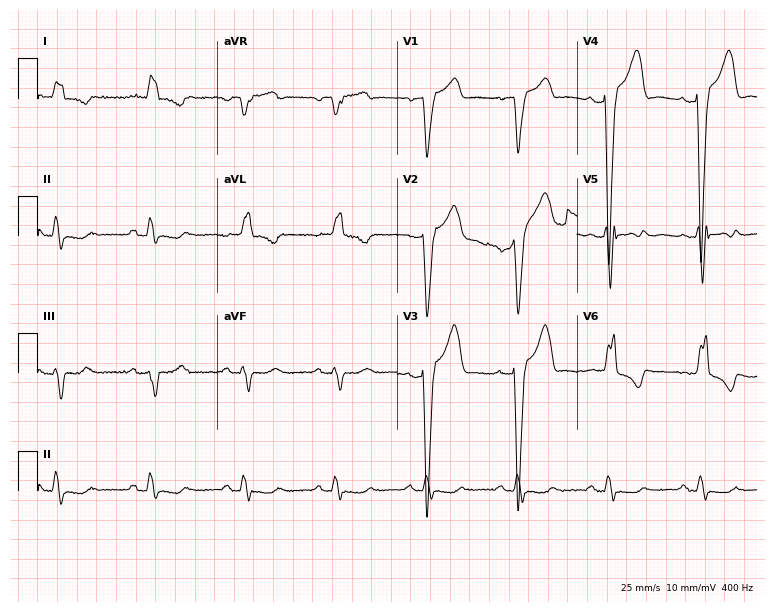
Resting 12-lead electrocardiogram (7.3-second recording at 400 Hz). Patient: a 72-year-old woman. The tracing shows left bundle branch block.